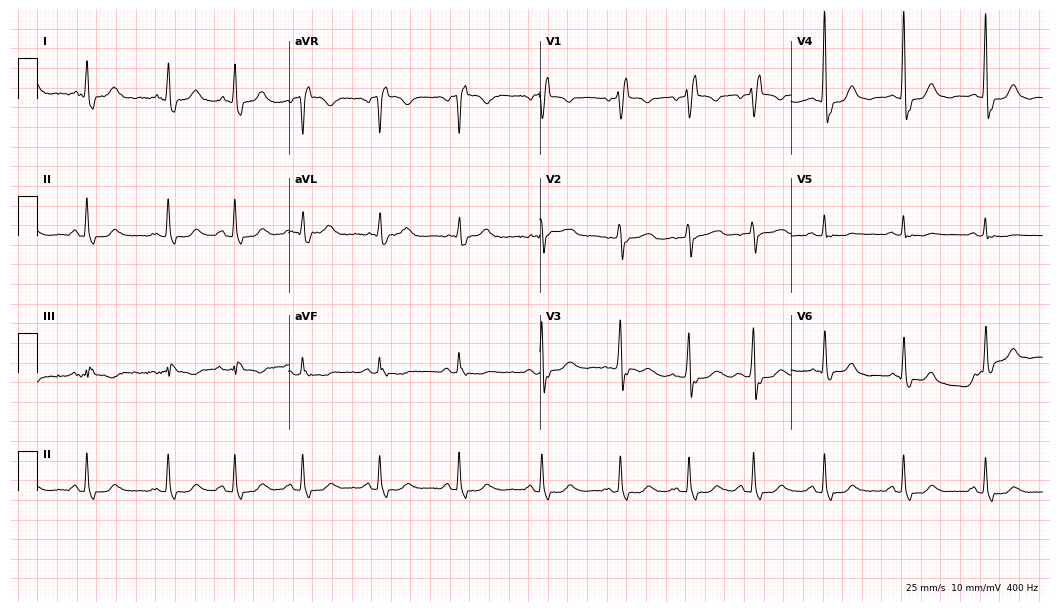
Resting 12-lead electrocardiogram (10.2-second recording at 400 Hz). Patient: a woman, 72 years old. The tracing shows right bundle branch block (RBBB).